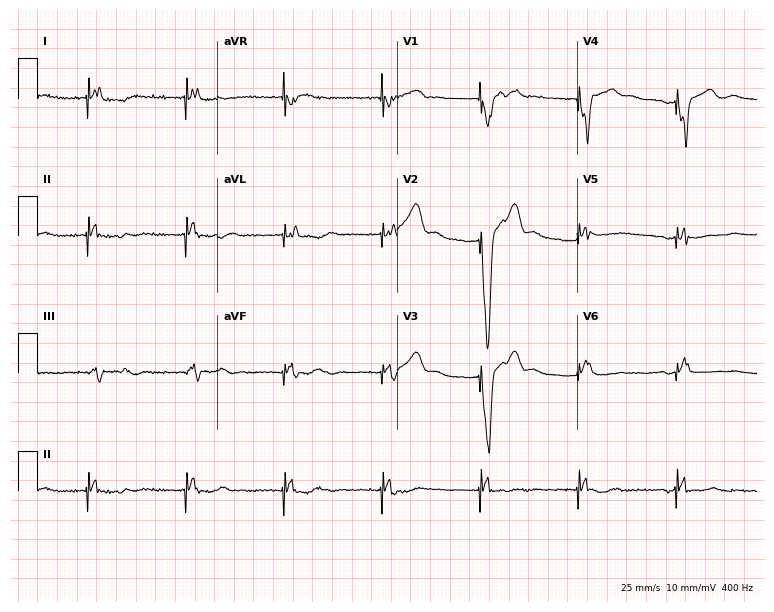
ECG — an 85-year-old female patient. Screened for six findings — first-degree AV block, right bundle branch block (RBBB), left bundle branch block (LBBB), sinus bradycardia, atrial fibrillation (AF), sinus tachycardia — none is recorded.